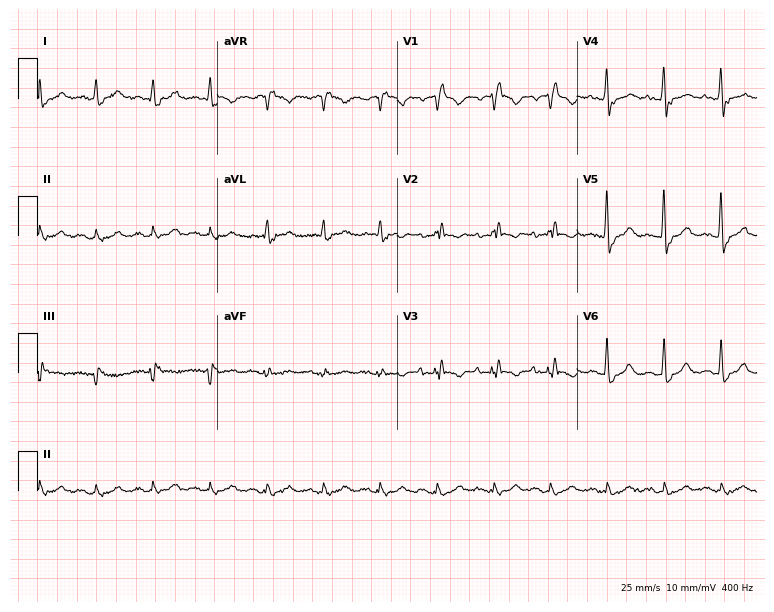
12-lead ECG from a man, 78 years old. Findings include right bundle branch block, sinus tachycardia (a sinus rate of 100 beats per minute or more).